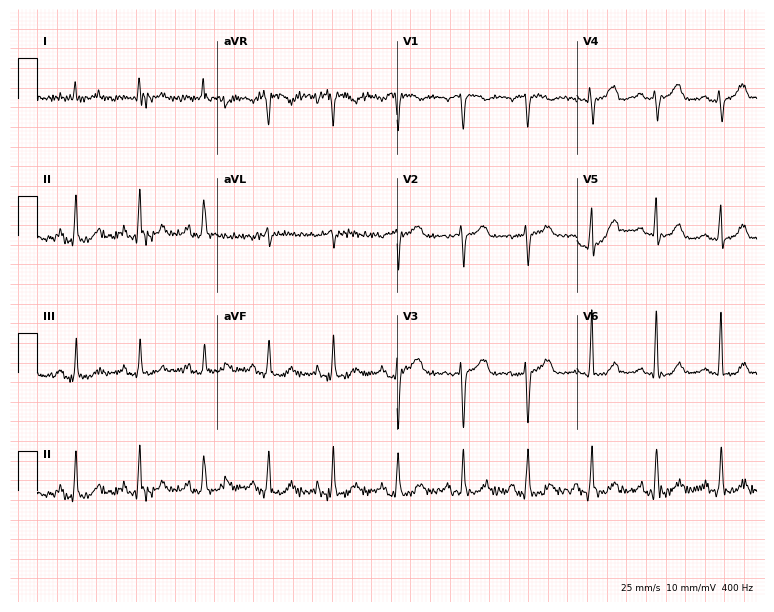
12-lead ECG from a 70-year-old female (7.3-second recording at 400 Hz). No first-degree AV block, right bundle branch block (RBBB), left bundle branch block (LBBB), sinus bradycardia, atrial fibrillation (AF) or sinus tachycardia recorded for this tracing.